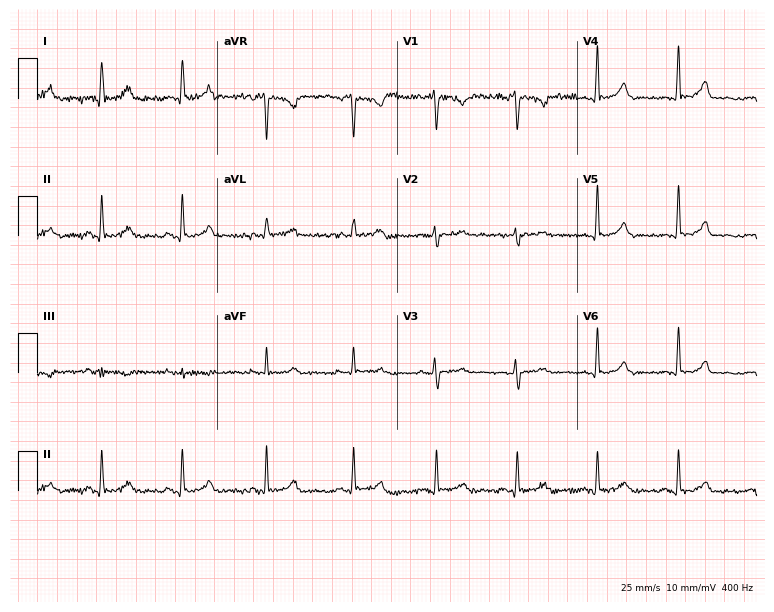
ECG (7.3-second recording at 400 Hz) — a 39-year-old female patient. Labelled as a normal ECG.